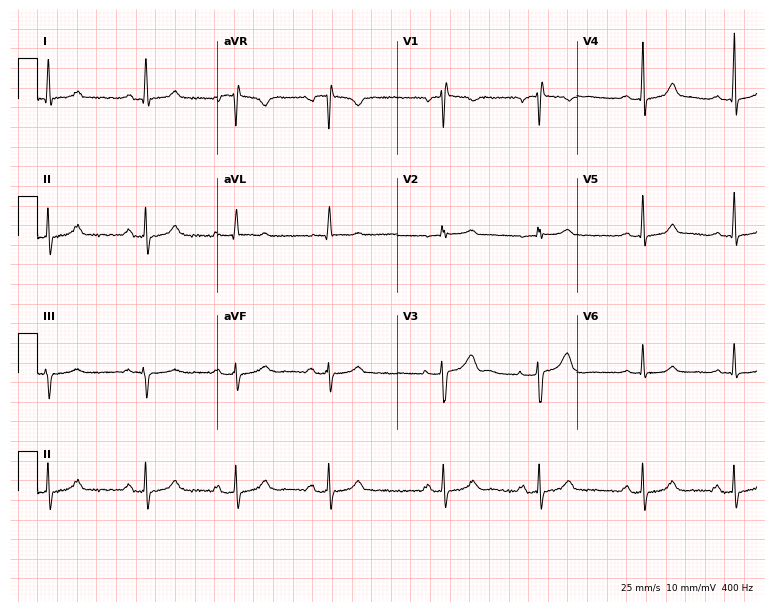
12-lead ECG from a 32-year-old woman. Recorded interpretation: within normal limits.